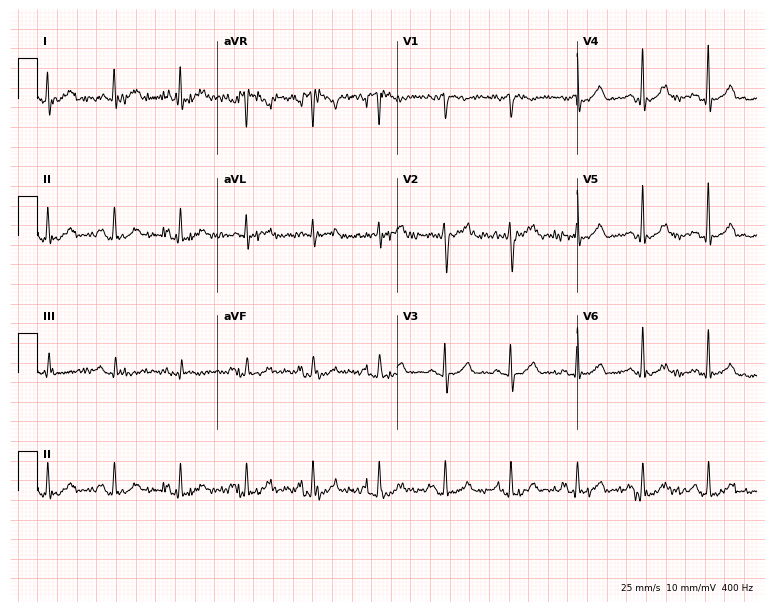
Standard 12-lead ECG recorded from a woman, 83 years old (7.3-second recording at 400 Hz). Read as a normal ECG.